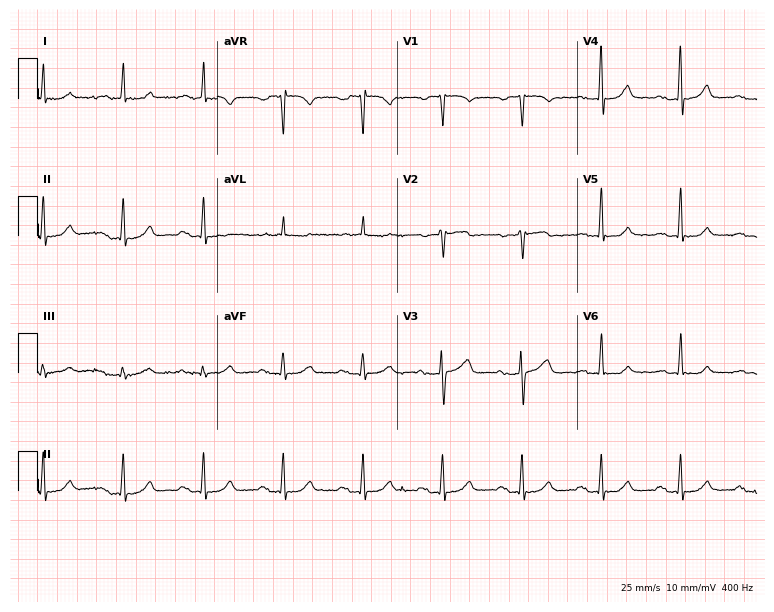
Resting 12-lead electrocardiogram (7.3-second recording at 400 Hz). Patient: a 61-year-old female. The tracing shows first-degree AV block.